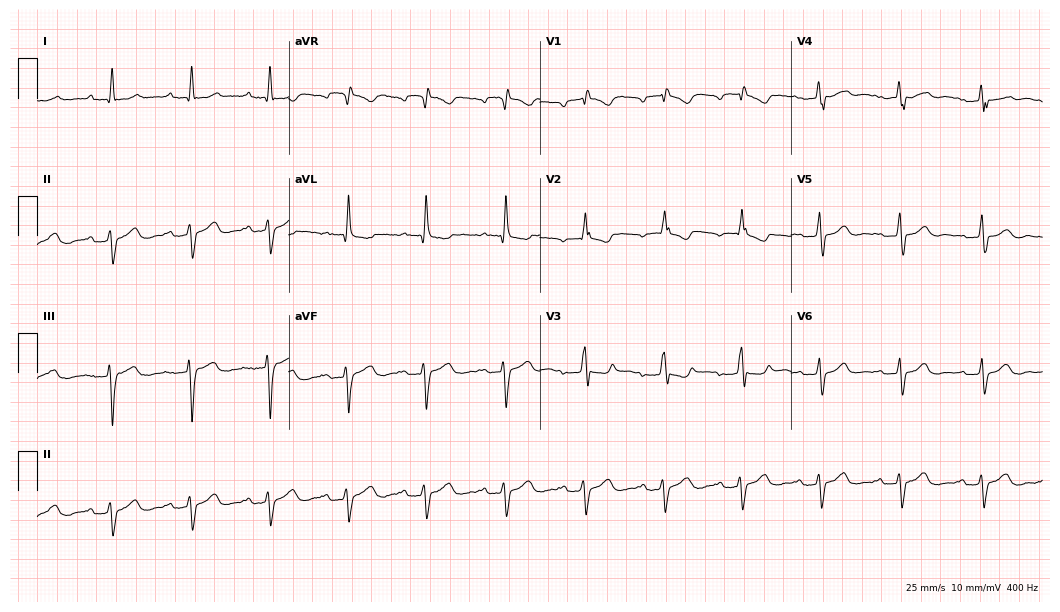
Standard 12-lead ECG recorded from a woman, 53 years old (10.2-second recording at 400 Hz). The tracing shows first-degree AV block.